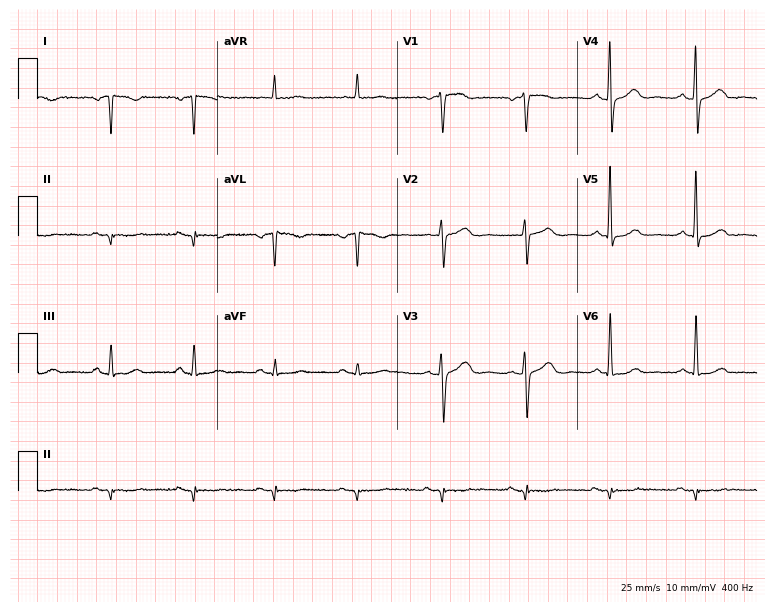
Resting 12-lead electrocardiogram (7.3-second recording at 400 Hz). Patient: a woman, 62 years old. None of these six findings is recorded: first-degree AV block, right bundle branch block, left bundle branch block, sinus bradycardia, atrial fibrillation, sinus tachycardia.